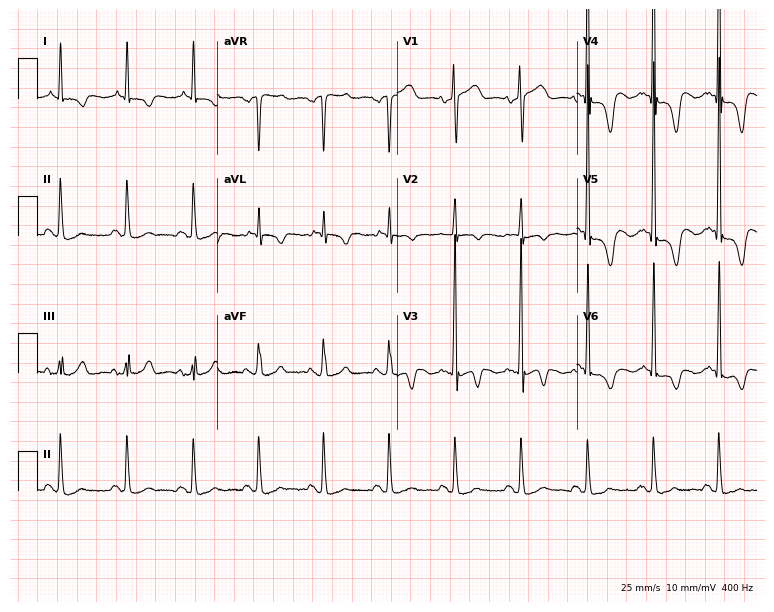
Resting 12-lead electrocardiogram. Patient: a 60-year-old man. None of these six findings is recorded: first-degree AV block, right bundle branch block (RBBB), left bundle branch block (LBBB), sinus bradycardia, atrial fibrillation (AF), sinus tachycardia. Other findings, if any, are not listed.